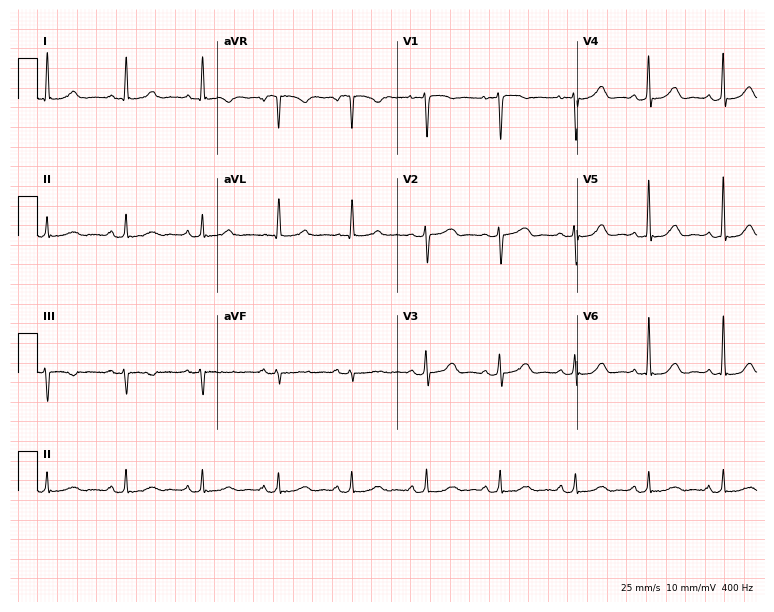
12-lead ECG from a 61-year-old woman (7.3-second recording at 400 Hz). Recorded interpretation: within normal limits.